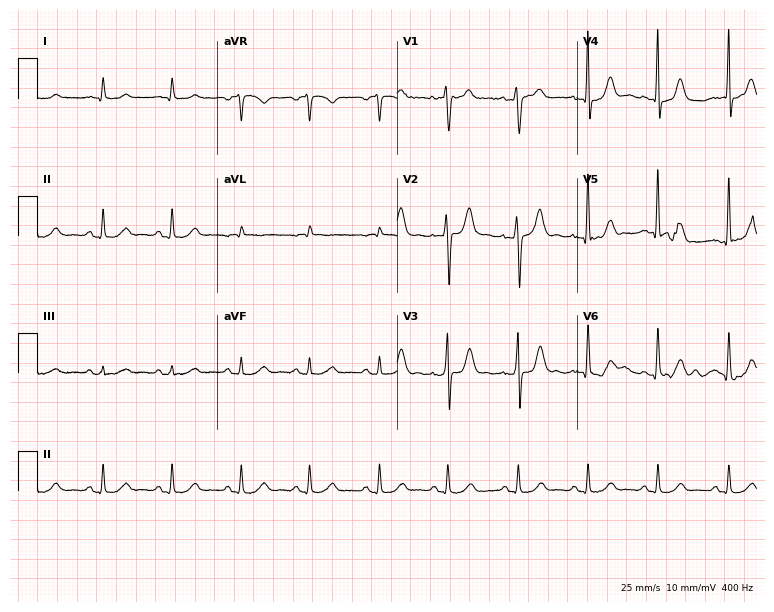
Resting 12-lead electrocardiogram (7.3-second recording at 400 Hz). Patient: a male, 62 years old. Read as a normal ECG.